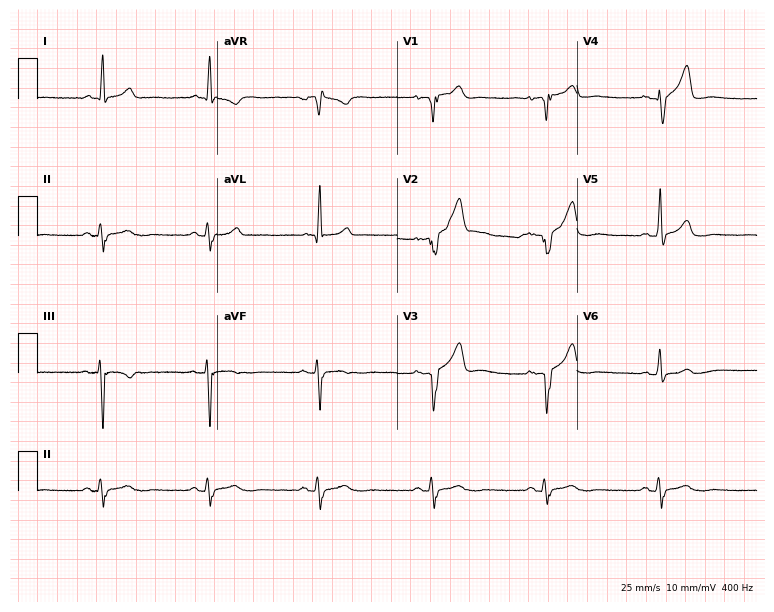
ECG (7.3-second recording at 400 Hz) — a 66-year-old male. Screened for six findings — first-degree AV block, right bundle branch block (RBBB), left bundle branch block (LBBB), sinus bradycardia, atrial fibrillation (AF), sinus tachycardia — none is recorded. Other findings, if any, are not listed.